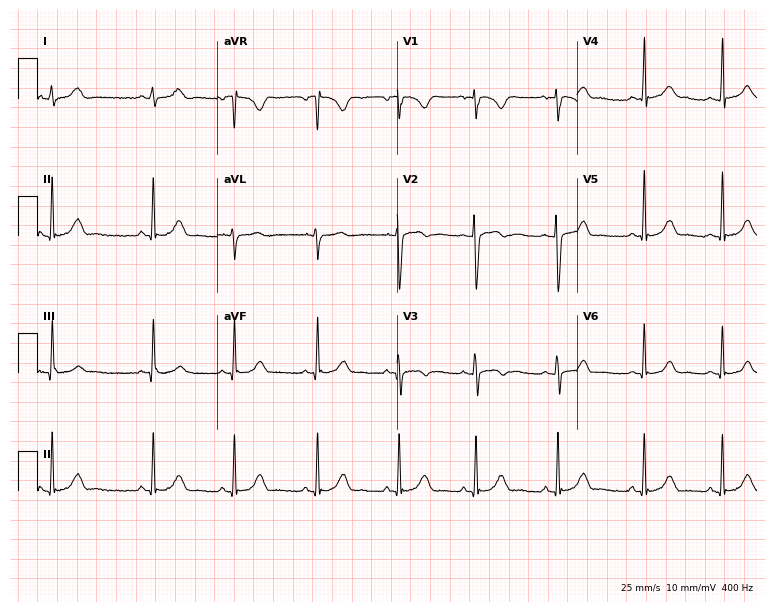
12-lead ECG from a 20-year-old woman. Labelled as a normal ECG.